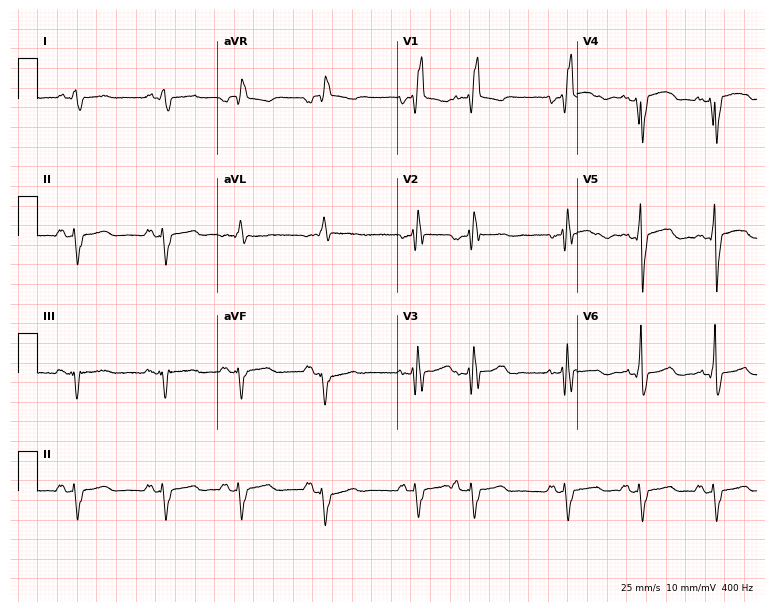
Standard 12-lead ECG recorded from a 59-year-old man (7.3-second recording at 400 Hz). The tracing shows right bundle branch block (RBBB).